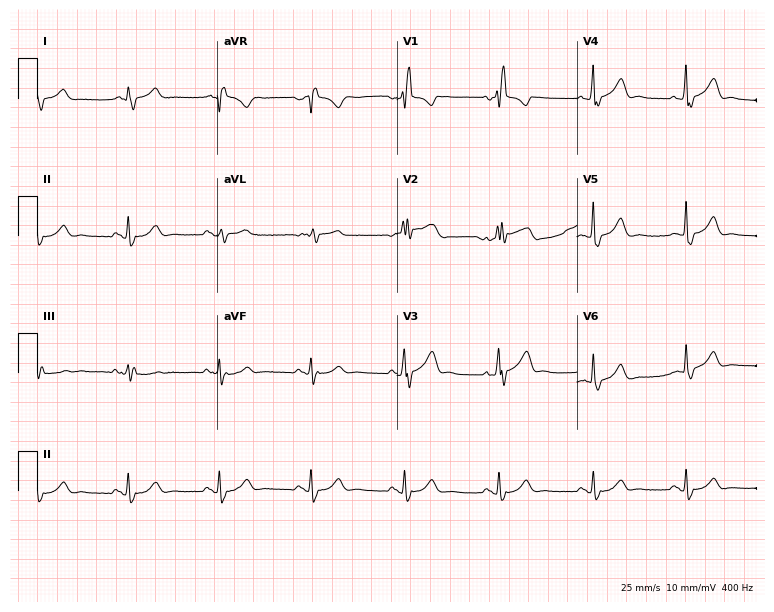
ECG (7.3-second recording at 400 Hz) — a male patient, 71 years old. Findings include right bundle branch block (RBBB).